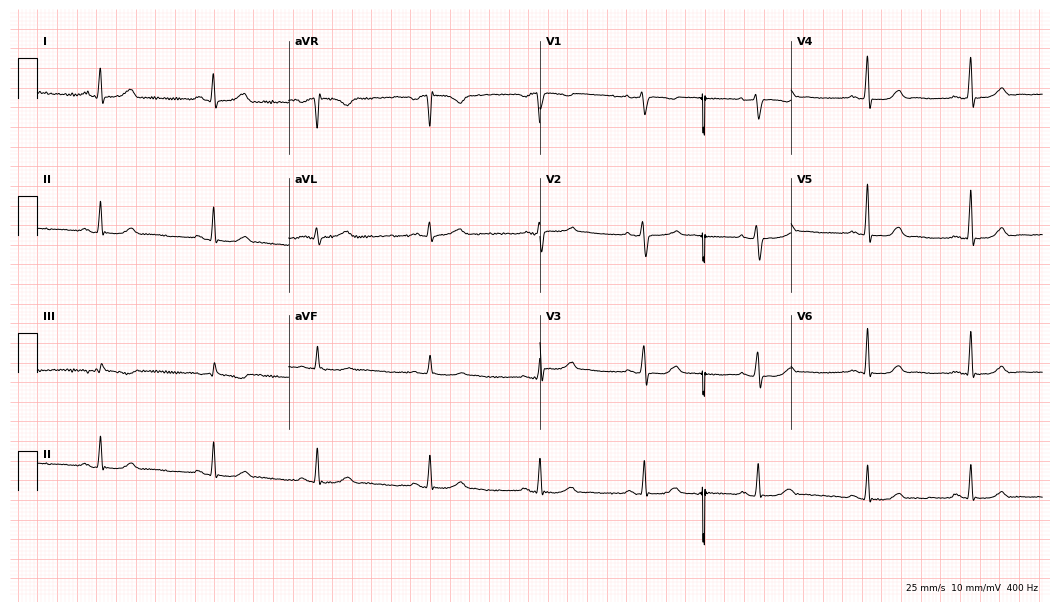
Resting 12-lead electrocardiogram. Patient: a female, 45 years old. None of these six findings is recorded: first-degree AV block, right bundle branch block, left bundle branch block, sinus bradycardia, atrial fibrillation, sinus tachycardia. Findings outside these six are not listed.